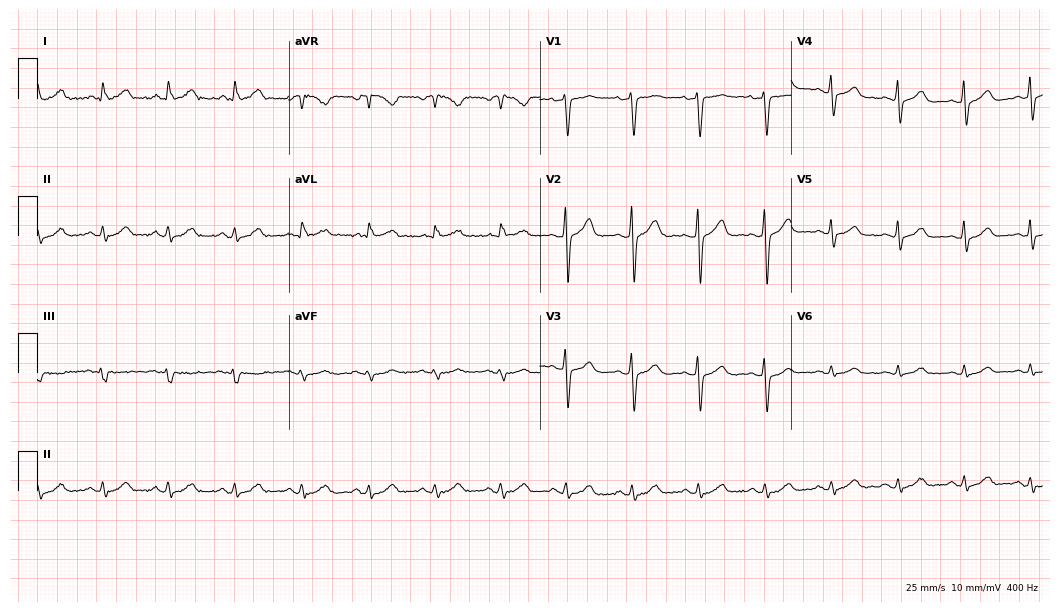
12-lead ECG from a female, 48 years old. Recorded interpretation: within normal limits.